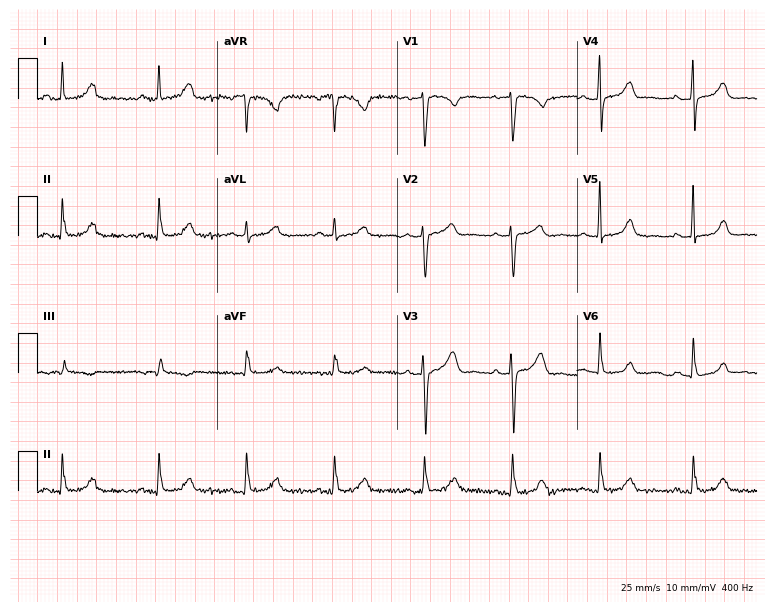
12-lead ECG (7.3-second recording at 400 Hz) from a 48-year-old female patient. Labelled as a normal ECG.